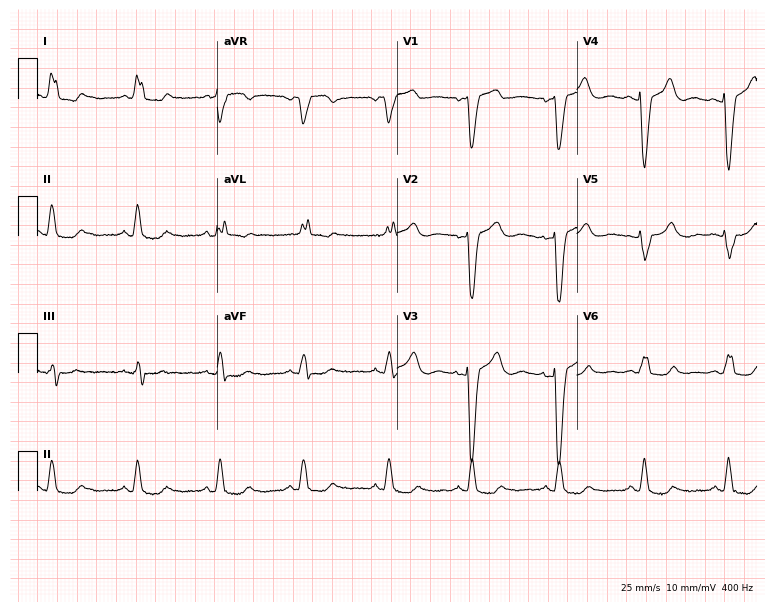
Standard 12-lead ECG recorded from a woman, 60 years old. The tracing shows left bundle branch block (LBBB).